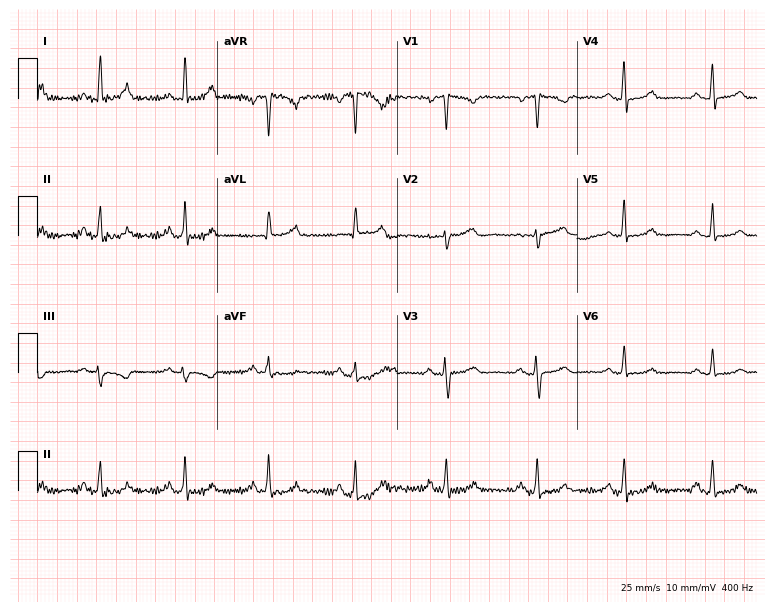
Electrocardiogram, a female patient, 48 years old. Overall reading on record: normal ECG.